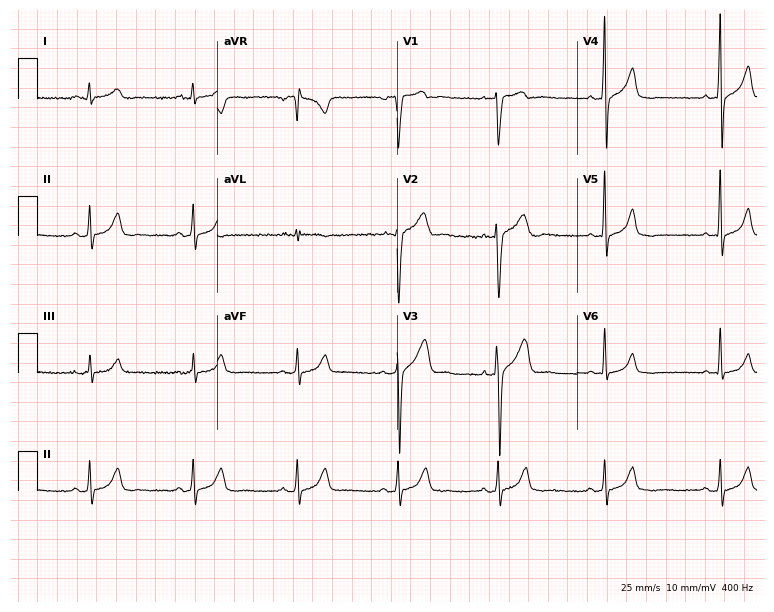
12-lead ECG from a 32-year-old male. Recorded interpretation: within normal limits.